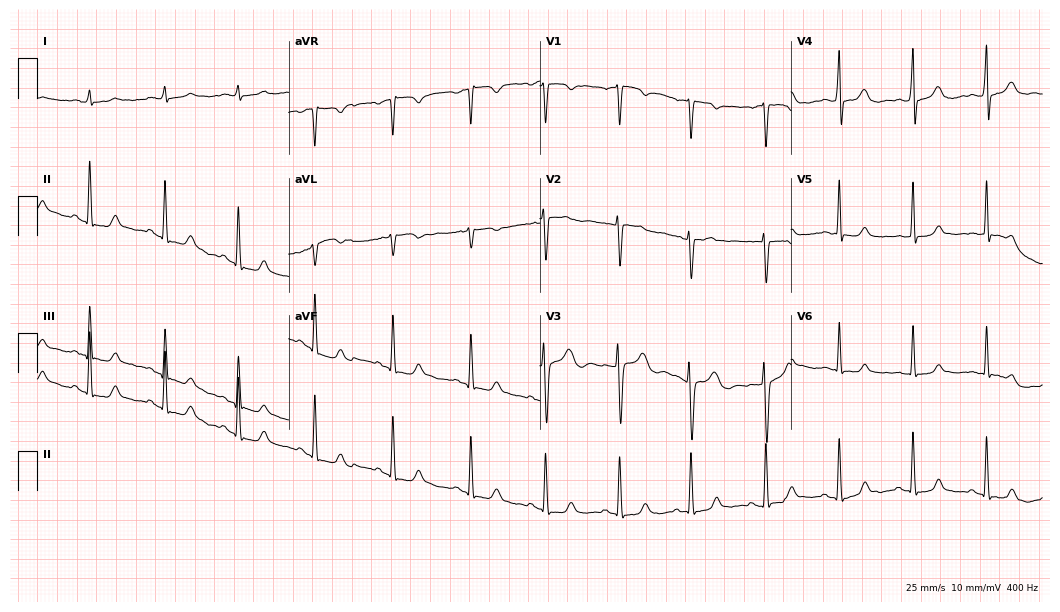
Electrocardiogram, a female patient, 41 years old. Overall reading on record: normal ECG.